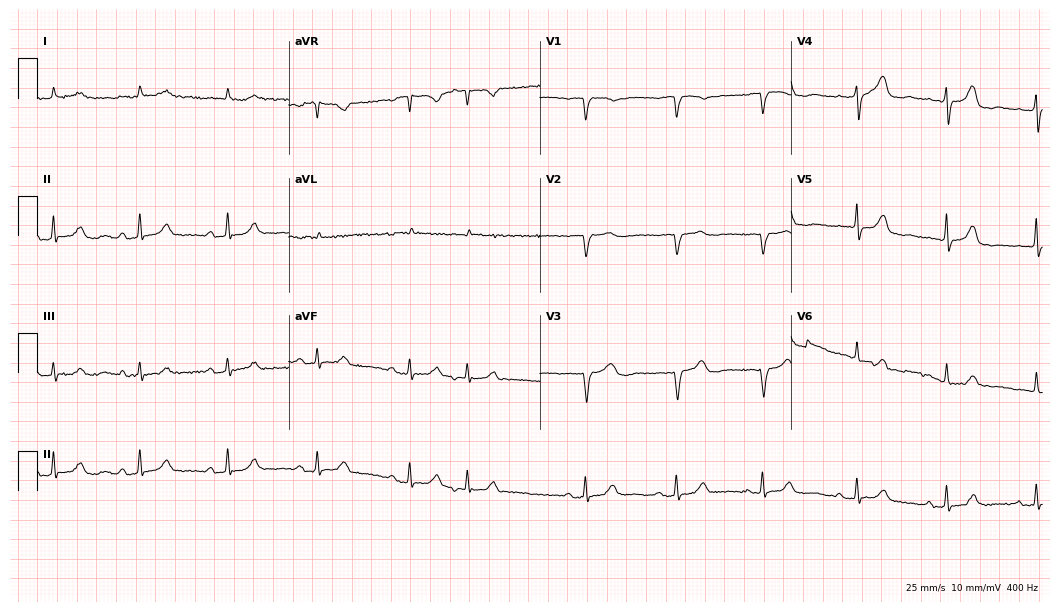
Resting 12-lead electrocardiogram (10.2-second recording at 400 Hz). Patient: a male, 68 years old. None of these six findings is recorded: first-degree AV block, right bundle branch block, left bundle branch block, sinus bradycardia, atrial fibrillation, sinus tachycardia.